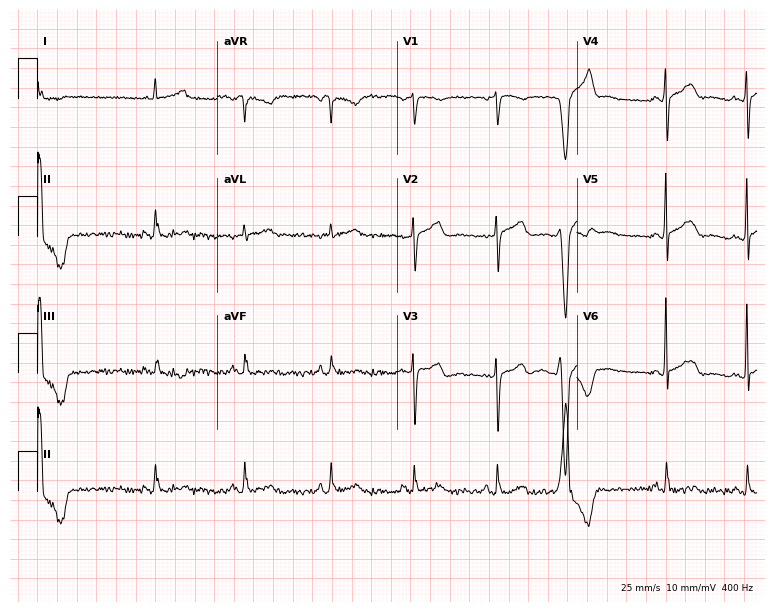
ECG — a woman, 80 years old. Screened for six findings — first-degree AV block, right bundle branch block (RBBB), left bundle branch block (LBBB), sinus bradycardia, atrial fibrillation (AF), sinus tachycardia — none is recorded.